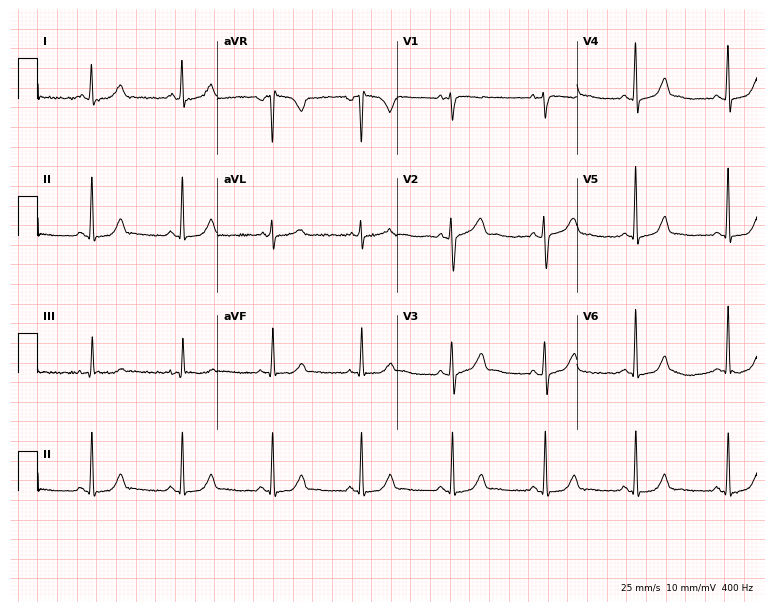
ECG (7.3-second recording at 400 Hz) — a 31-year-old female patient. Labelled as a normal ECG.